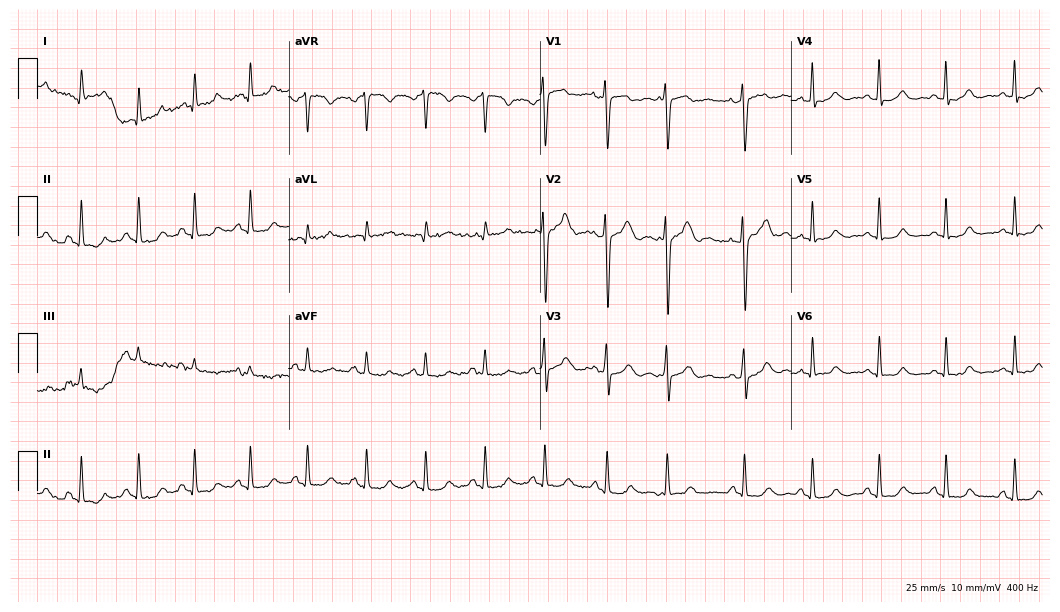
Resting 12-lead electrocardiogram. Patient: a 38-year-old female. None of these six findings is recorded: first-degree AV block, right bundle branch block, left bundle branch block, sinus bradycardia, atrial fibrillation, sinus tachycardia.